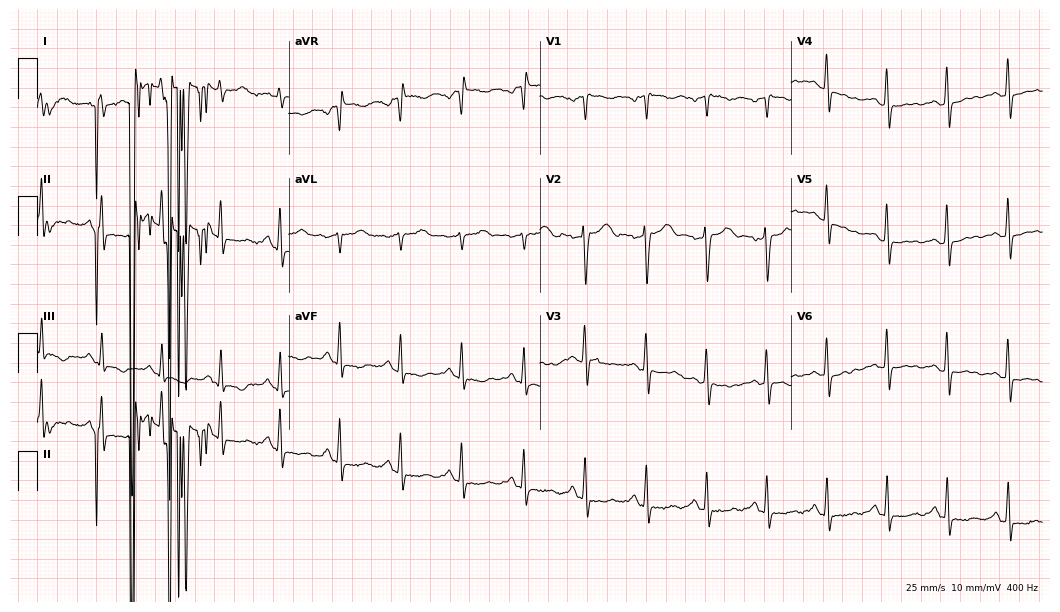
ECG (10.2-second recording at 400 Hz) — a female, 38 years old. Screened for six findings — first-degree AV block, right bundle branch block, left bundle branch block, sinus bradycardia, atrial fibrillation, sinus tachycardia — none is recorded. Findings outside these six are not listed.